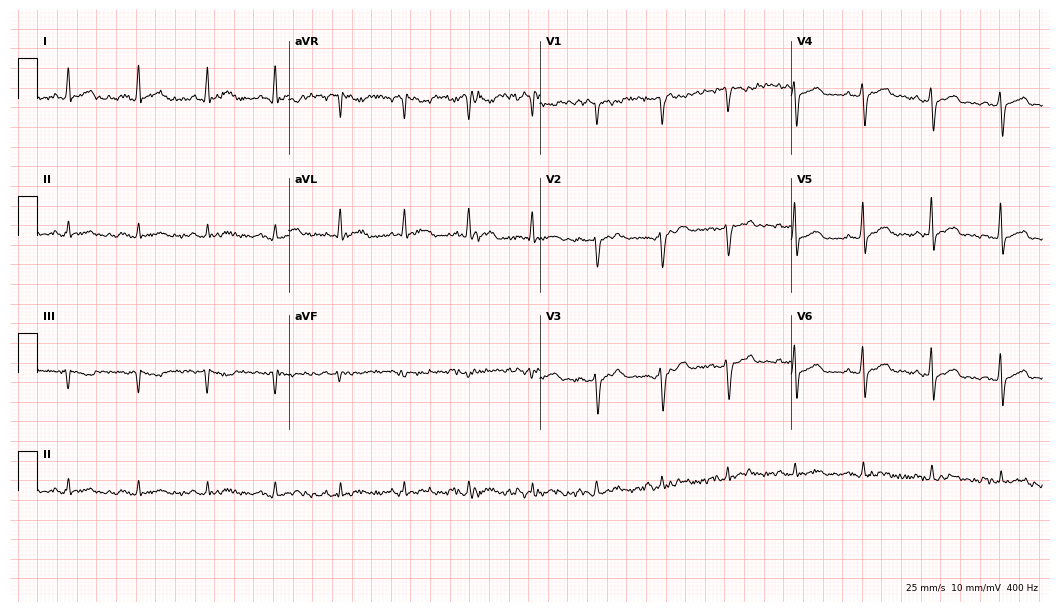
Resting 12-lead electrocardiogram. Patient: a man, 42 years old. None of these six findings is recorded: first-degree AV block, right bundle branch block, left bundle branch block, sinus bradycardia, atrial fibrillation, sinus tachycardia. Other findings, if any, are not listed.